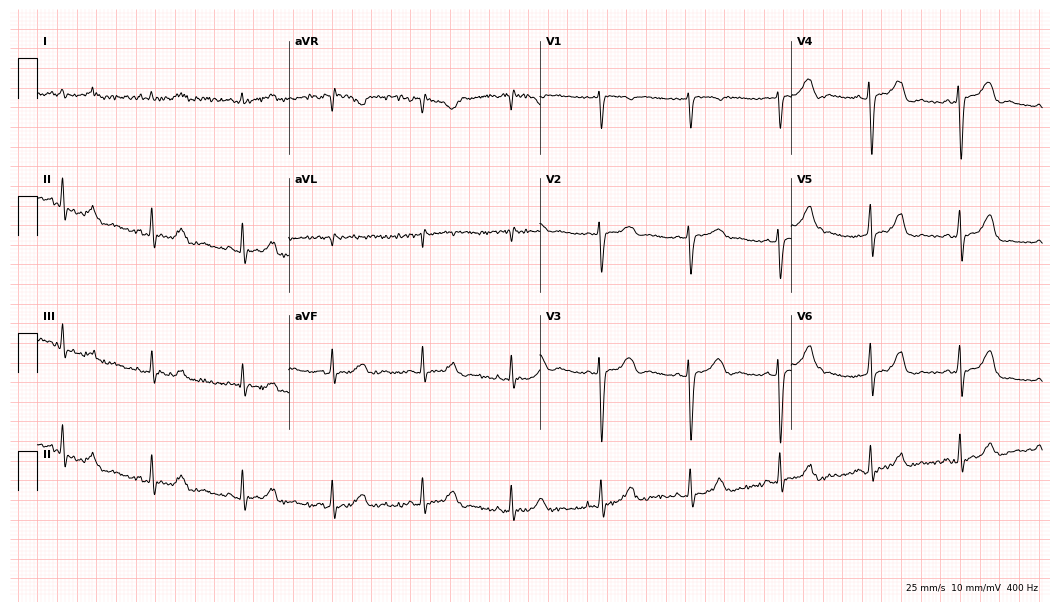
12-lead ECG from a 42-year-old female. Labelled as a normal ECG.